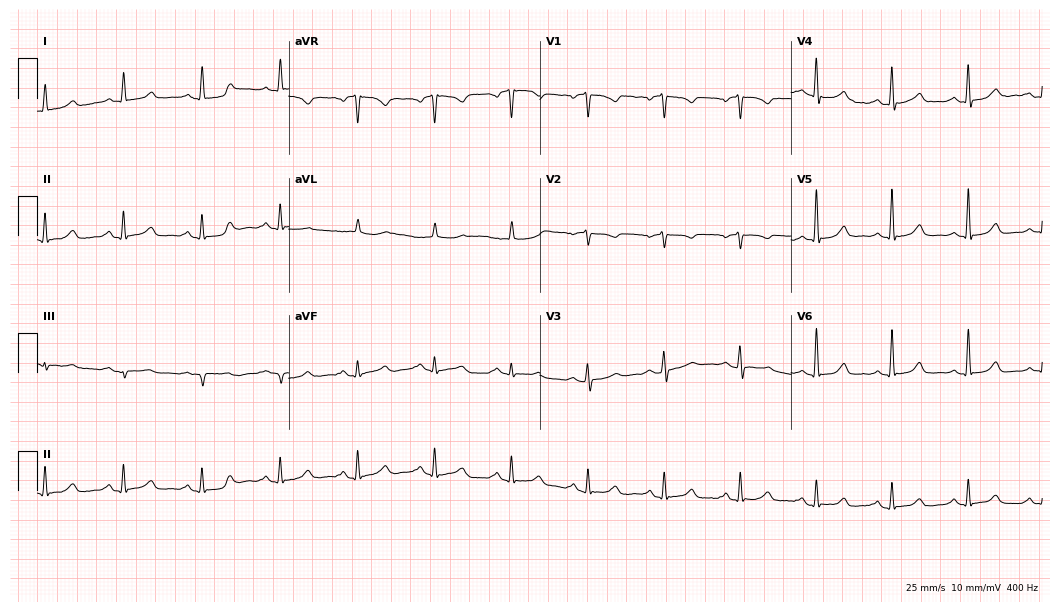
12-lead ECG from a woman, 61 years old (10.2-second recording at 400 Hz). Recorded interpretation: within normal limits.